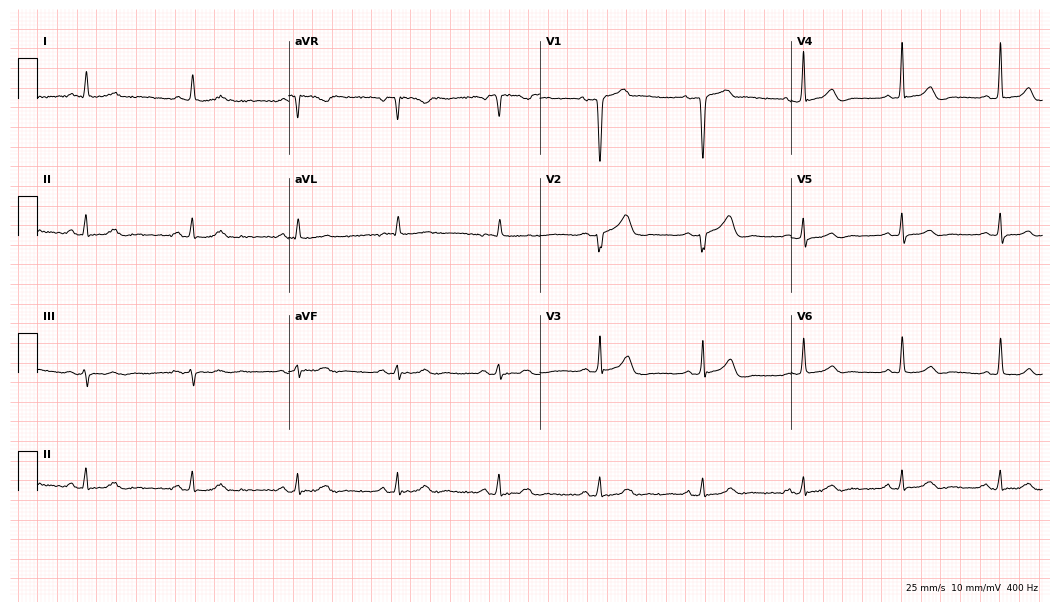
Standard 12-lead ECG recorded from a female patient, 61 years old (10.2-second recording at 400 Hz). None of these six findings is recorded: first-degree AV block, right bundle branch block, left bundle branch block, sinus bradycardia, atrial fibrillation, sinus tachycardia. Only these six findings were labelled.